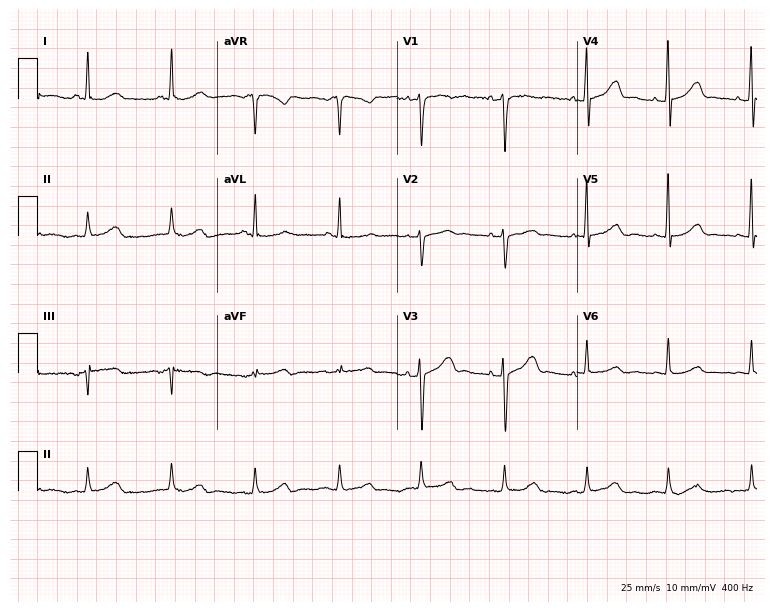
ECG — a woman, 48 years old. Screened for six findings — first-degree AV block, right bundle branch block, left bundle branch block, sinus bradycardia, atrial fibrillation, sinus tachycardia — none is recorded. Other findings, if any, are not listed.